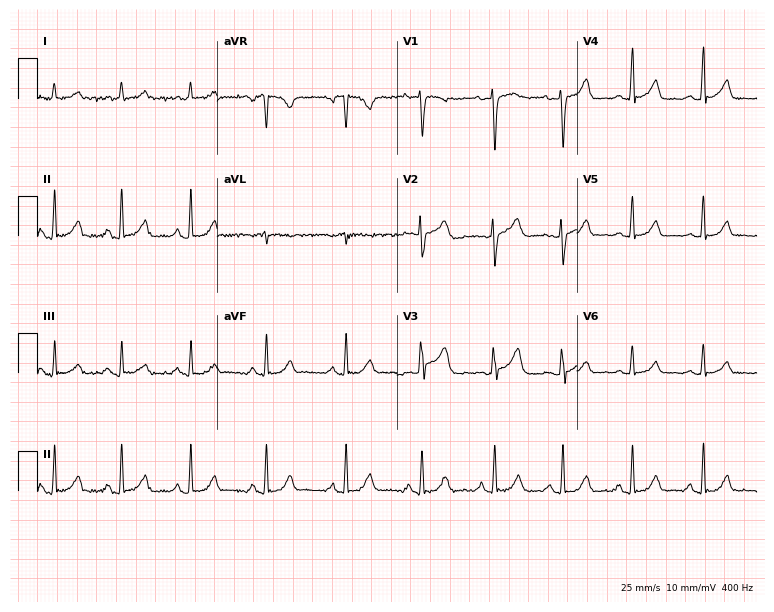
Electrocardiogram (7.3-second recording at 400 Hz), a female patient, 34 years old. Overall reading on record: normal ECG.